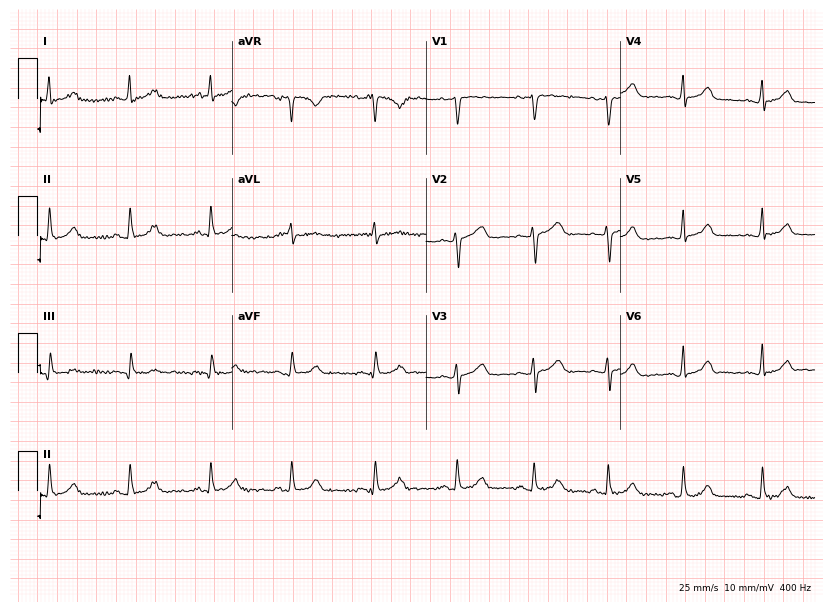
Resting 12-lead electrocardiogram (7.9-second recording at 400 Hz). Patient: a female, 35 years old. Read as a normal ECG.